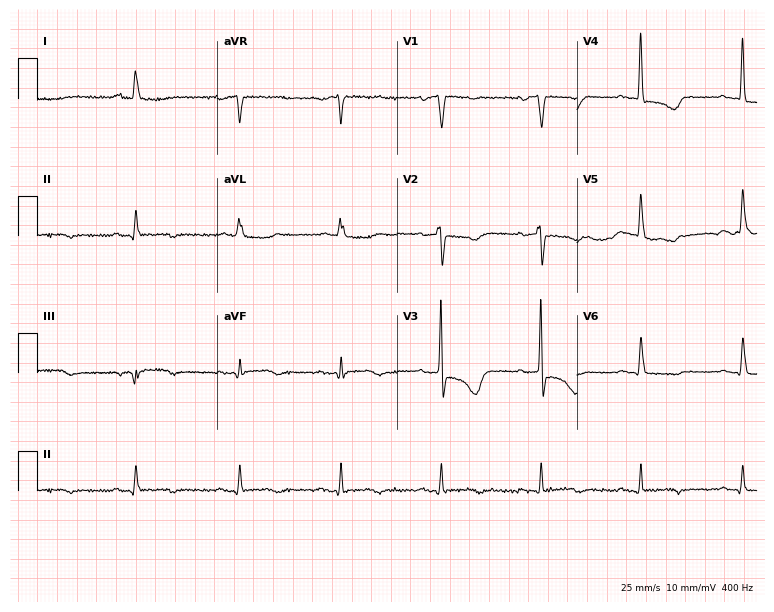
ECG (7.3-second recording at 400 Hz) — a woman, 84 years old. Screened for six findings — first-degree AV block, right bundle branch block, left bundle branch block, sinus bradycardia, atrial fibrillation, sinus tachycardia — none is recorded. Other findings, if any, are not listed.